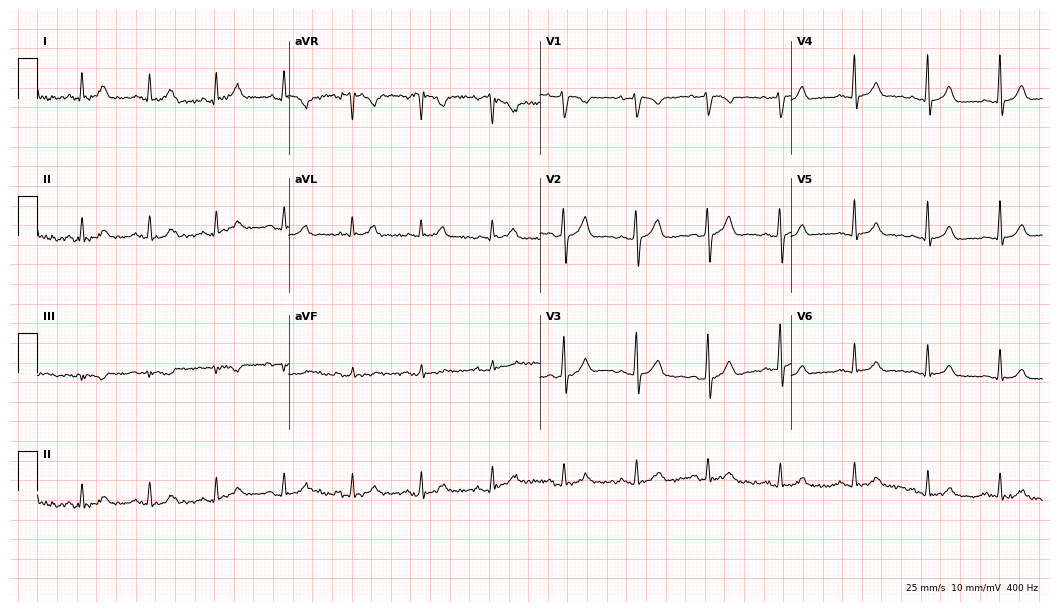
Resting 12-lead electrocardiogram (10.2-second recording at 400 Hz). Patient: a 47-year-old female. Read as a normal ECG.